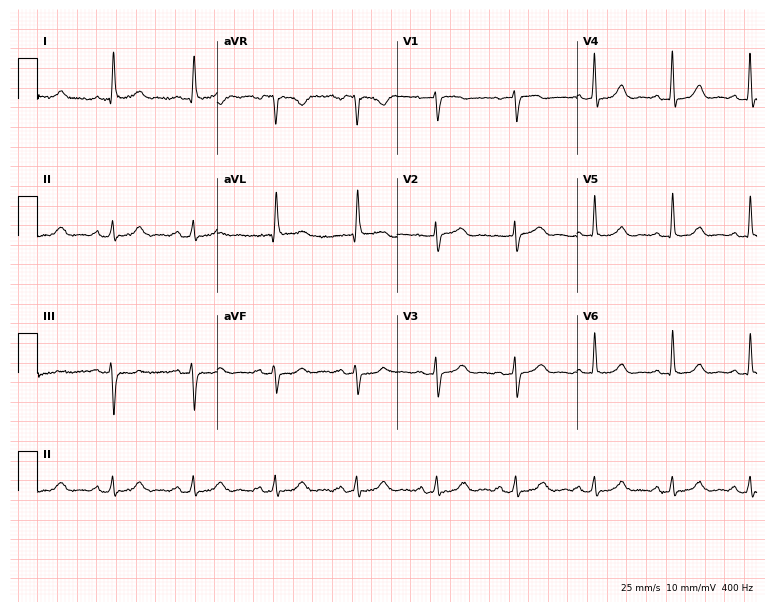
12-lead ECG from an 83-year-old woman (7.3-second recording at 400 Hz). Recorded interpretation: within normal limits.